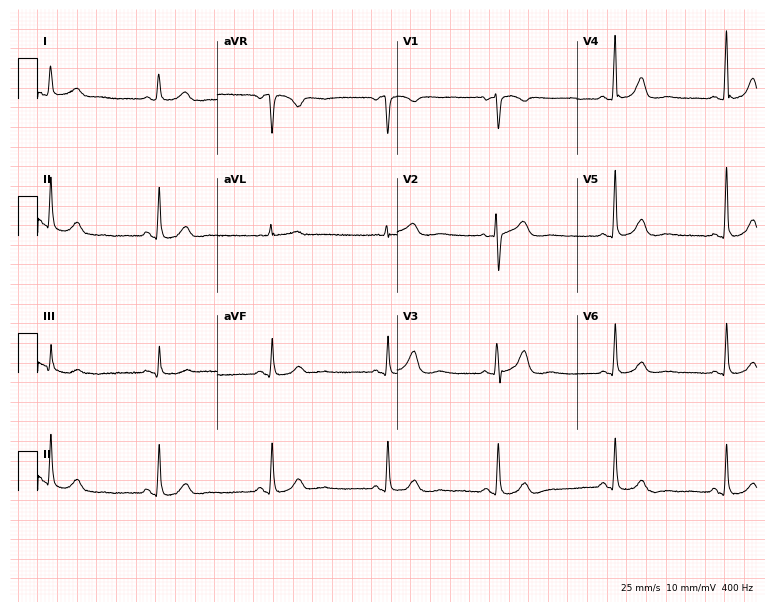
Resting 12-lead electrocardiogram (7.3-second recording at 400 Hz). Patient: a female, 64 years old. Read as a normal ECG.